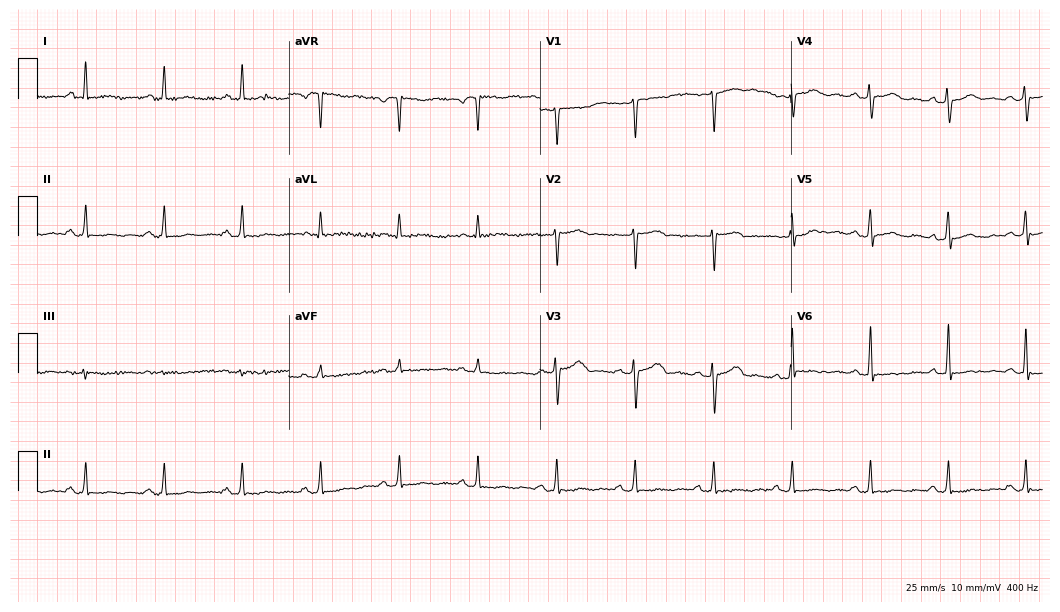
Resting 12-lead electrocardiogram (10.2-second recording at 400 Hz). Patient: a 52-year-old female. None of these six findings is recorded: first-degree AV block, right bundle branch block (RBBB), left bundle branch block (LBBB), sinus bradycardia, atrial fibrillation (AF), sinus tachycardia.